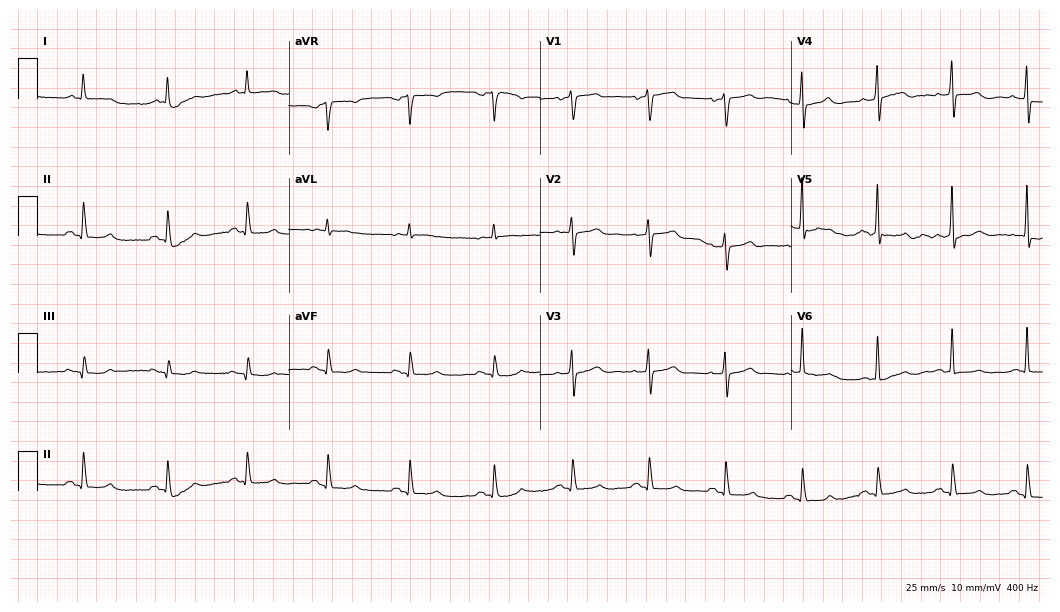
Resting 12-lead electrocardiogram. Patient: a 75-year-old male. None of these six findings is recorded: first-degree AV block, right bundle branch block, left bundle branch block, sinus bradycardia, atrial fibrillation, sinus tachycardia. Only these six findings were labelled.